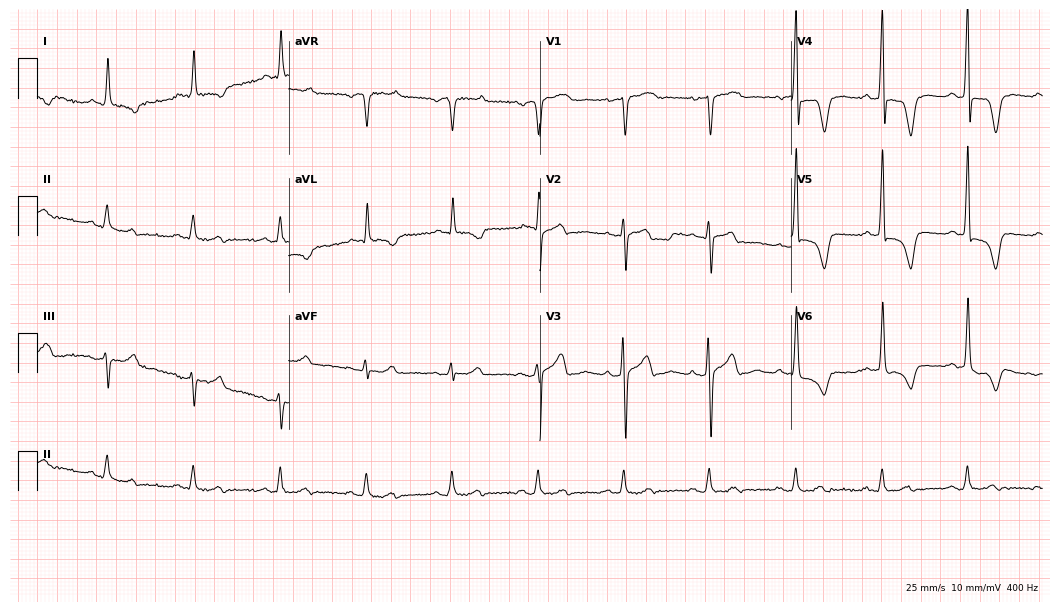
12-lead ECG from a male, 70 years old (10.2-second recording at 400 Hz). No first-degree AV block, right bundle branch block (RBBB), left bundle branch block (LBBB), sinus bradycardia, atrial fibrillation (AF) or sinus tachycardia recorded for this tracing.